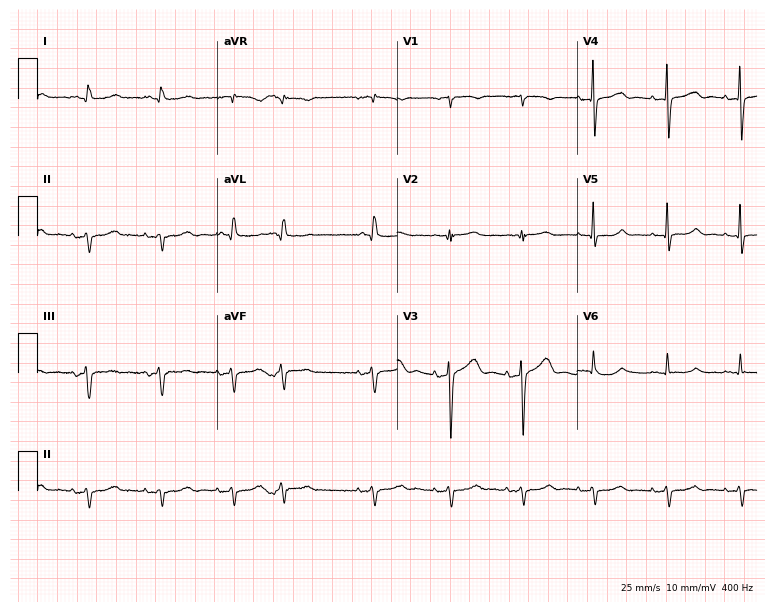
12-lead ECG from an 84-year-old man. No first-degree AV block, right bundle branch block (RBBB), left bundle branch block (LBBB), sinus bradycardia, atrial fibrillation (AF) or sinus tachycardia recorded for this tracing. Findings outside these six are not listed.